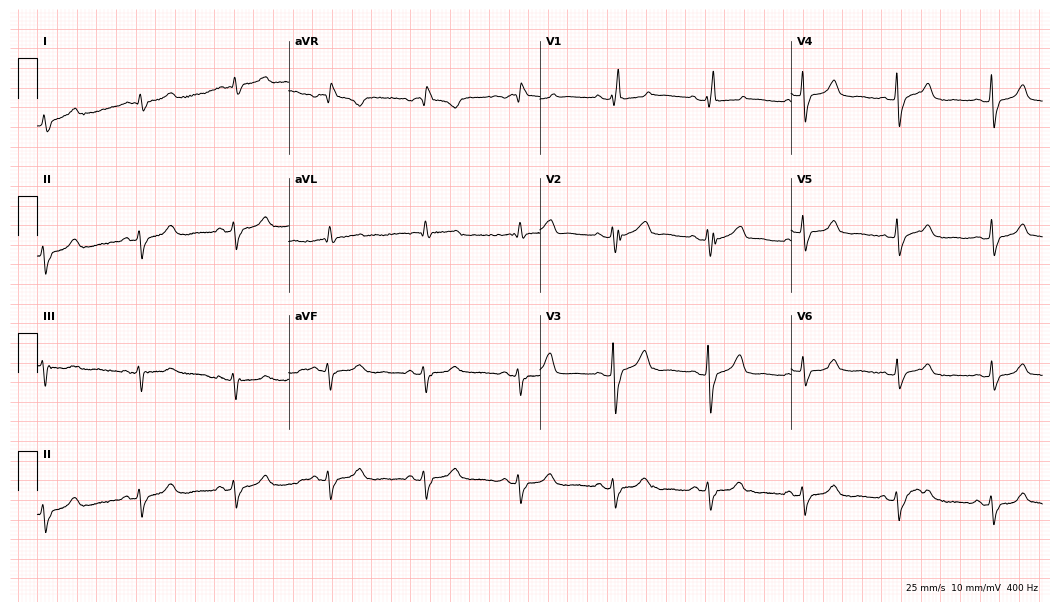
Standard 12-lead ECG recorded from a female patient, 74 years old (10.2-second recording at 400 Hz). The tracing shows right bundle branch block (RBBB).